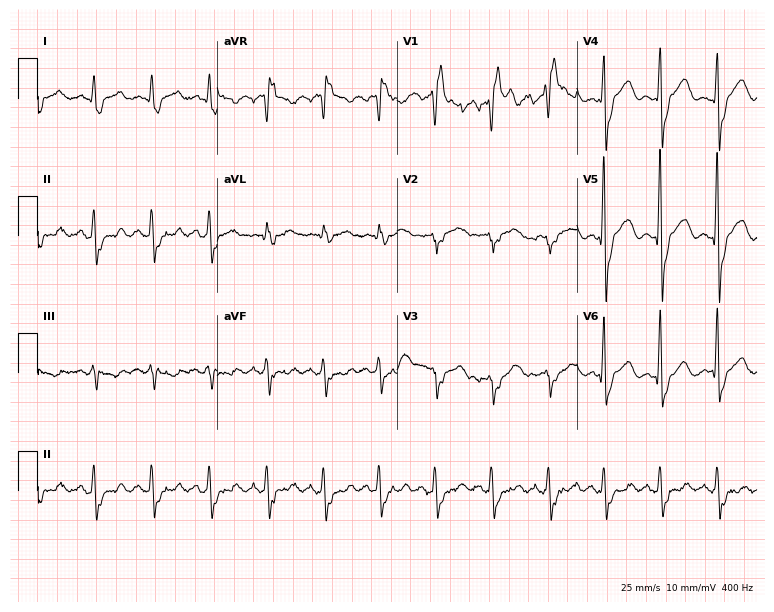
12-lead ECG from a 45-year-old male (7.3-second recording at 400 Hz). Shows right bundle branch block.